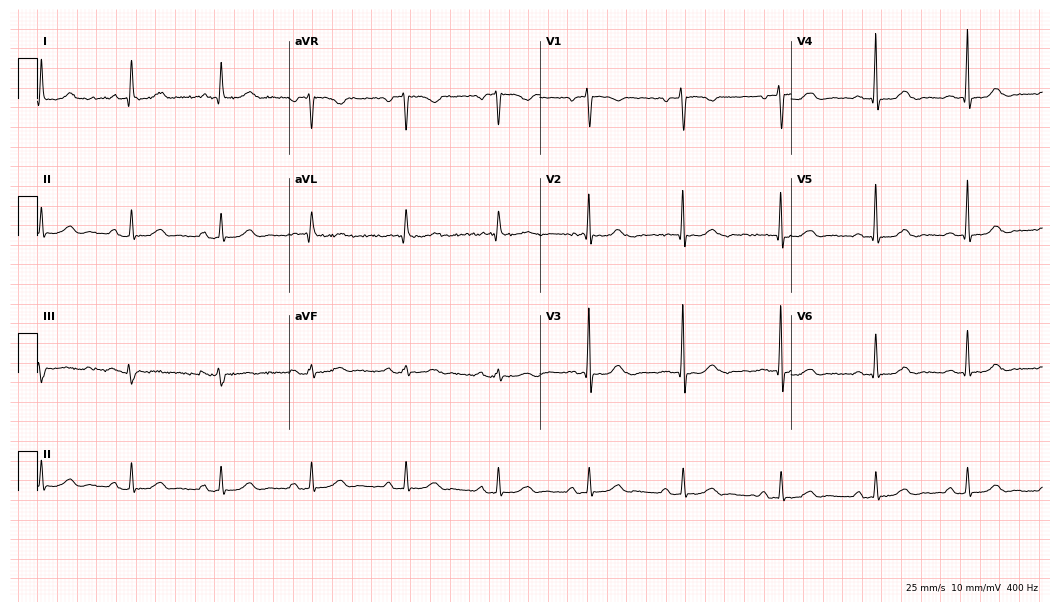
12-lead ECG from a 58-year-old female. Recorded interpretation: within normal limits.